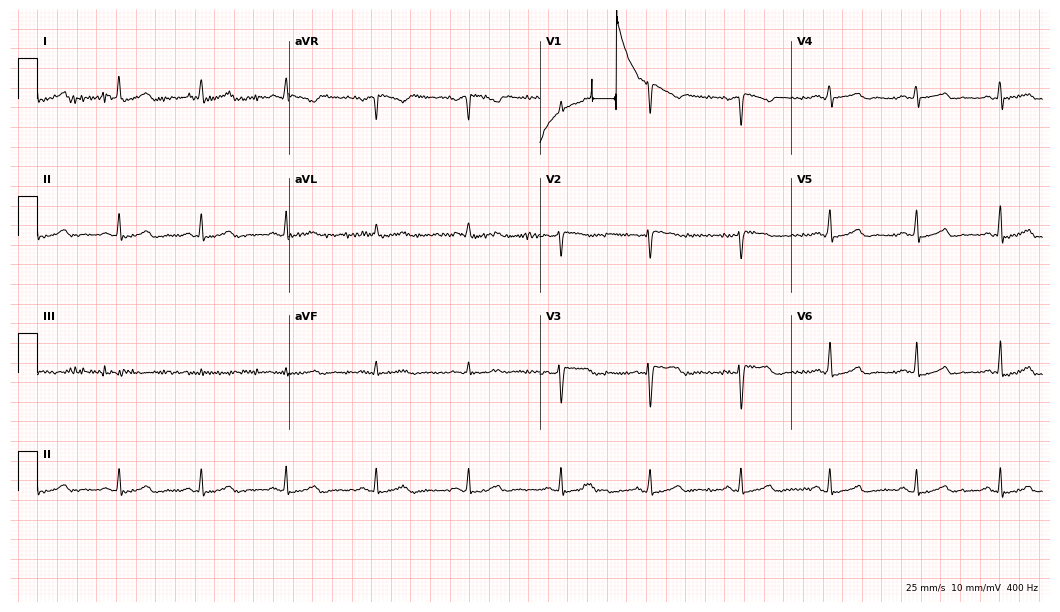
Resting 12-lead electrocardiogram. Patient: a female, 43 years old. Read as a normal ECG.